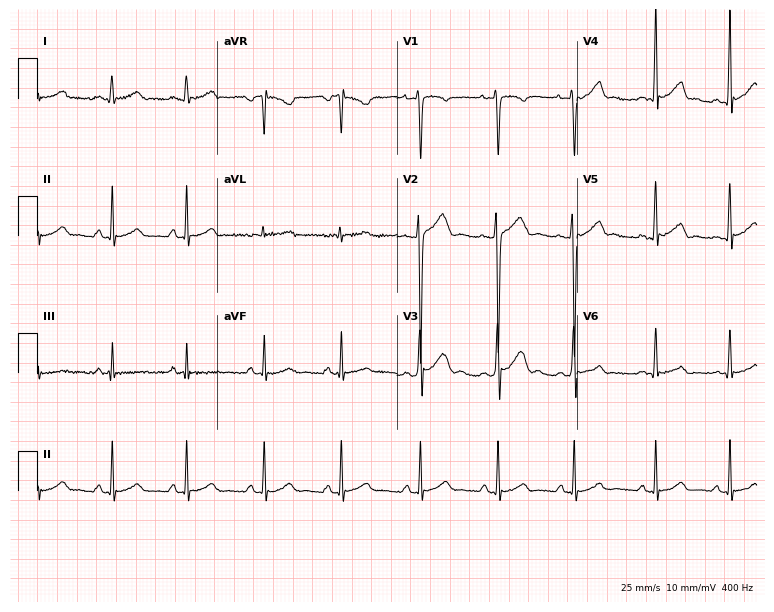
Resting 12-lead electrocardiogram. Patient: an 18-year-old male. Read as a normal ECG.